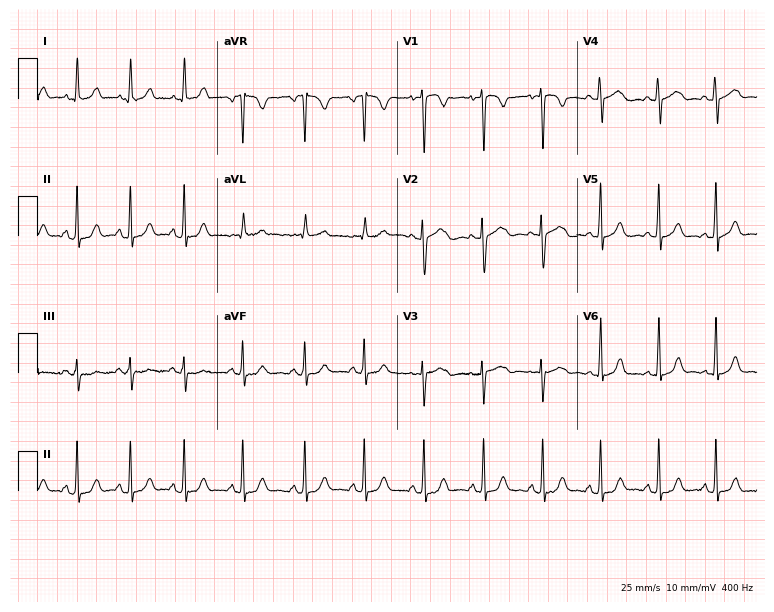
Electrocardiogram, a female, 20 years old. Of the six screened findings (first-degree AV block, right bundle branch block, left bundle branch block, sinus bradycardia, atrial fibrillation, sinus tachycardia), none is recorded. Other findings, if any, are not listed.